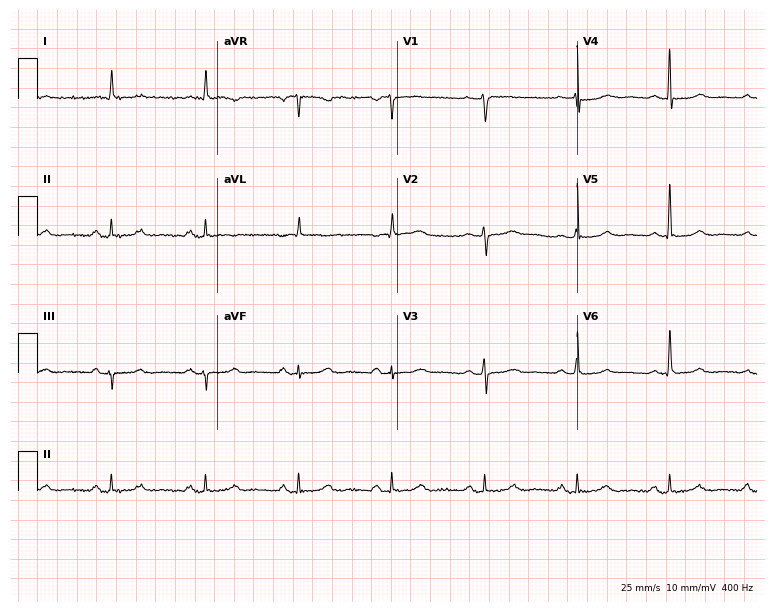
Standard 12-lead ECG recorded from a female, 64 years old. None of these six findings is recorded: first-degree AV block, right bundle branch block, left bundle branch block, sinus bradycardia, atrial fibrillation, sinus tachycardia. Findings outside these six are not listed.